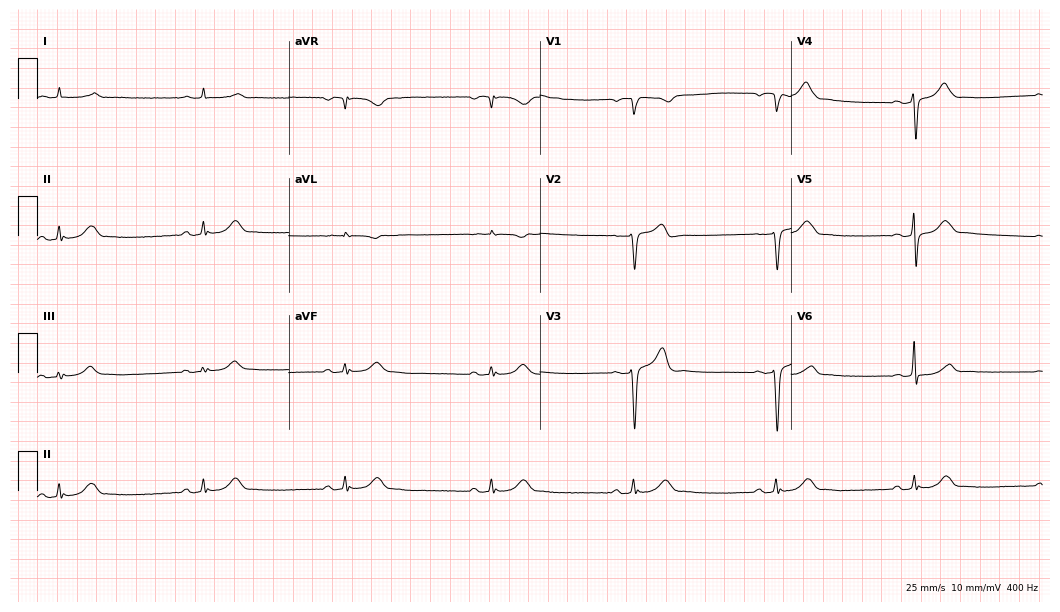
ECG (10.2-second recording at 400 Hz) — a 78-year-old man. Screened for six findings — first-degree AV block, right bundle branch block, left bundle branch block, sinus bradycardia, atrial fibrillation, sinus tachycardia — none is recorded.